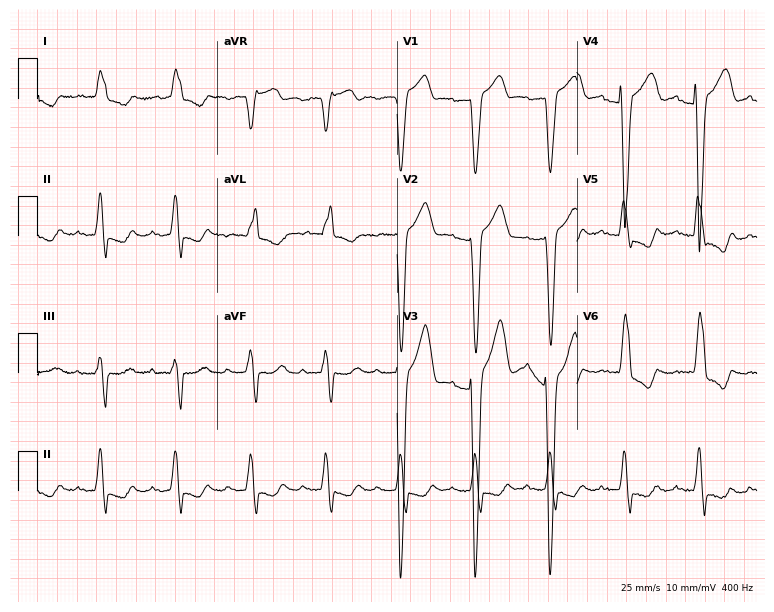
12-lead ECG from a female patient, 82 years old. Shows left bundle branch block.